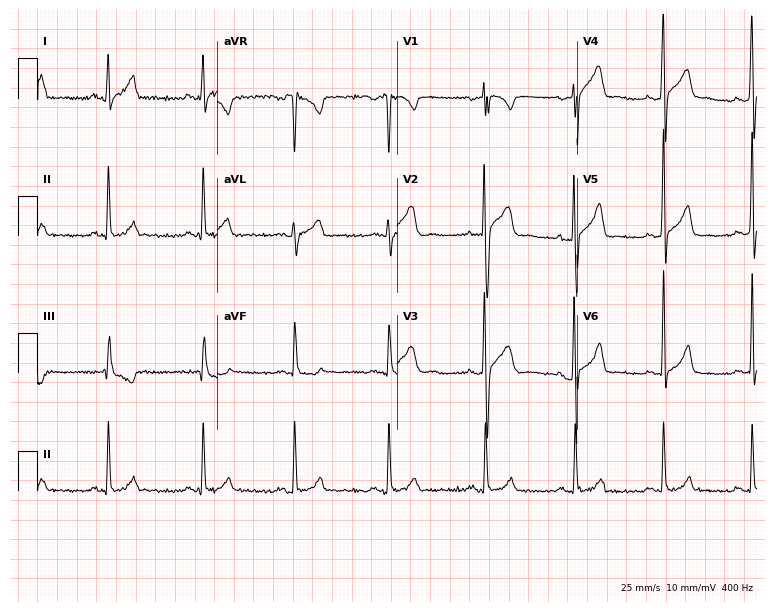
12-lead ECG (7.3-second recording at 400 Hz) from a male patient, 30 years old. Screened for six findings — first-degree AV block, right bundle branch block (RBBB), left bundle branch block (LBBB), sinus bradycardia, atrial fibrillation (AF), sinus tachycardia — none is recorded.